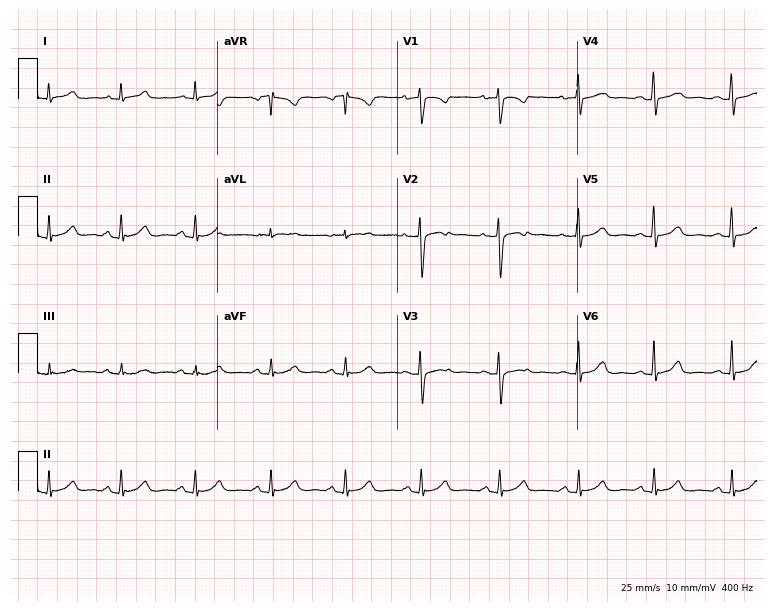
12-lead ECG from a 32-year-old female. Labelled as a normal ECG.